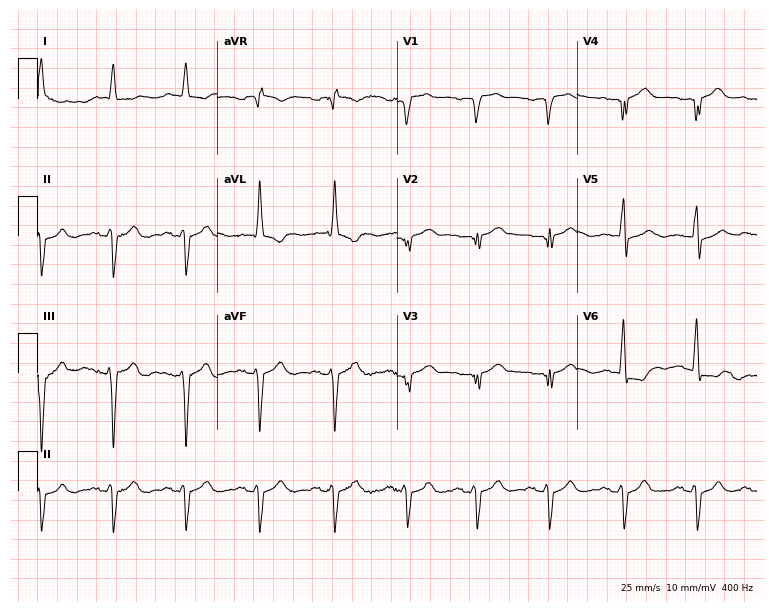
12-lead ECG from a male patient, 81 years old. No first-degree AV block, right bundle branch block (RBBB), left bundle branch block (LBBB), sinus bradycardia, atrial fibrillation (AF) or sinus tachycardia recorded for this tracing.